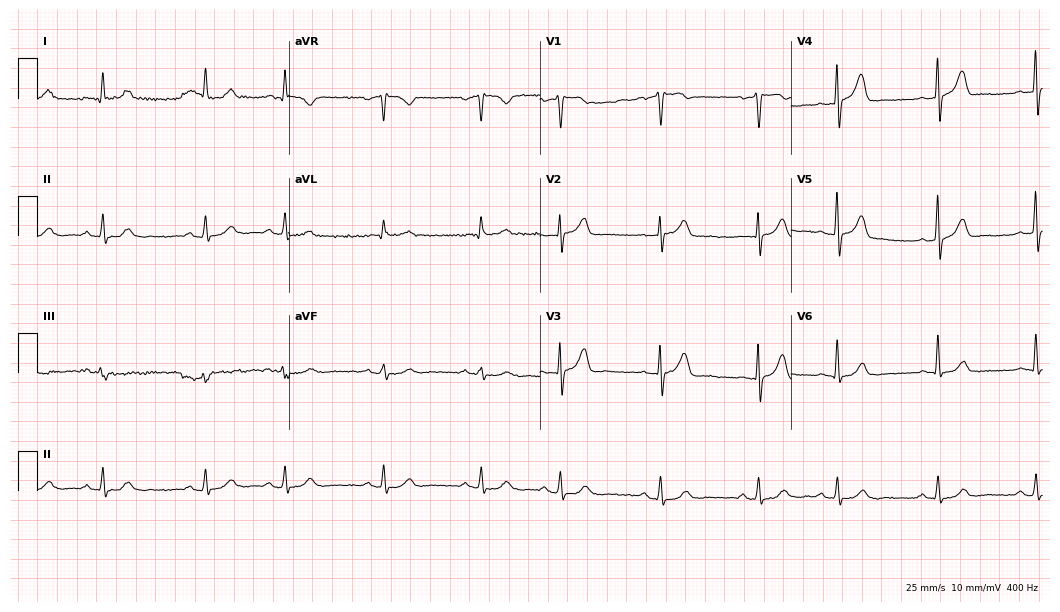
Electrocardiogram (10.2-second recording at 400 Hz), a man, 62 years old. Overall reading on record: normal ECG.